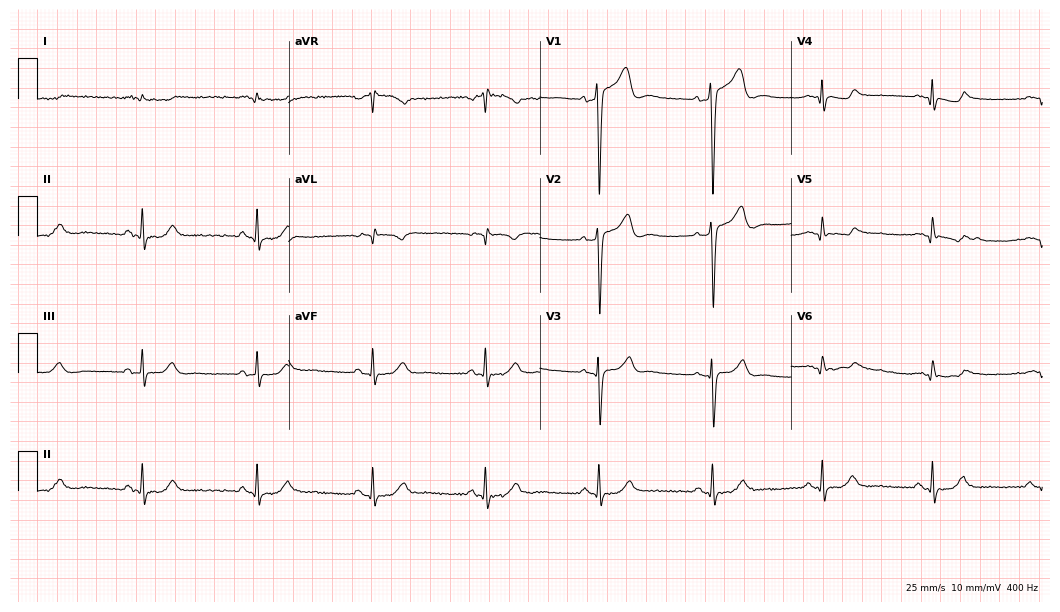
Resting 12-lead electrocardiogram. Patient: a 61-year-old man. None of these six findings is recorded: first-degree AV block, right bundle branch block (RBBB), left bundle branch block (LBBB), sinus bradycardia, atrial fibrillation (AF), sinus tachycardia. Findings outside these six are not listed.